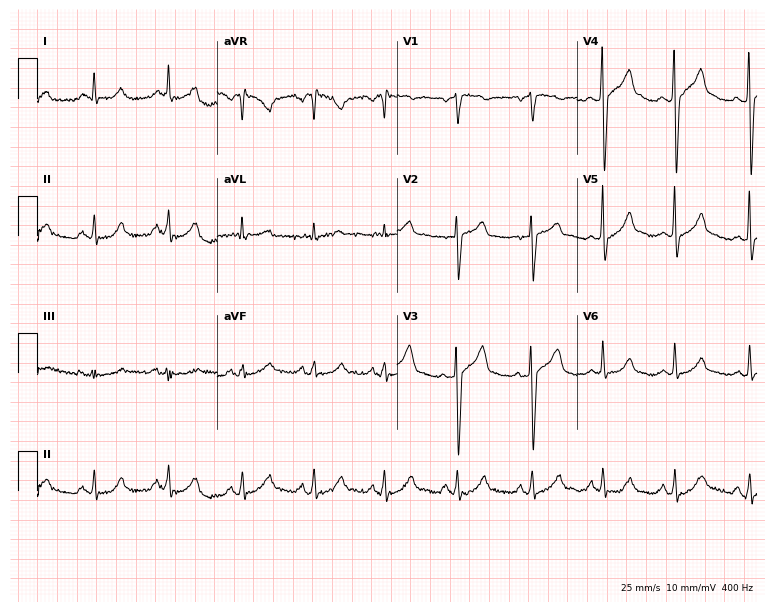
12-lead ECG (7.3-second recording at 400 Hz) from a 48-year-old male patient. Labelled as a normal ECG.